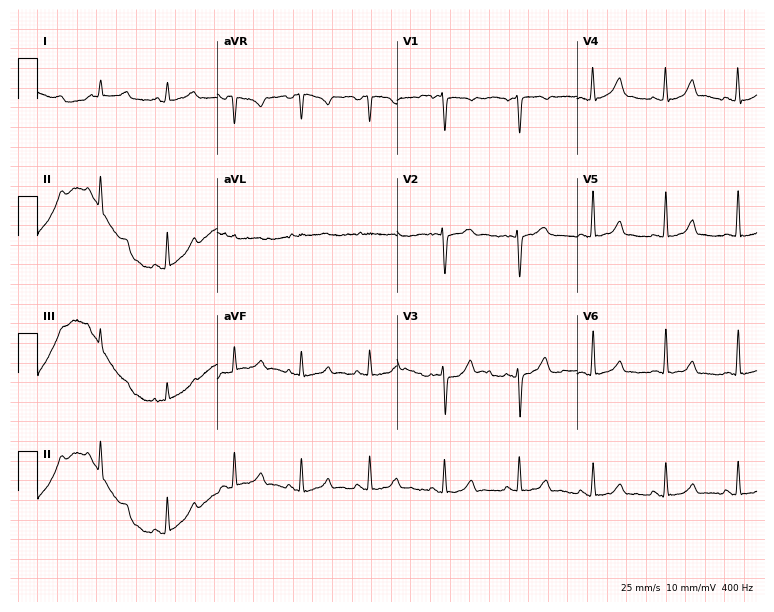
Standard 12-lead ECG recorded from a female, 39 years old. Read as a normal ECG.